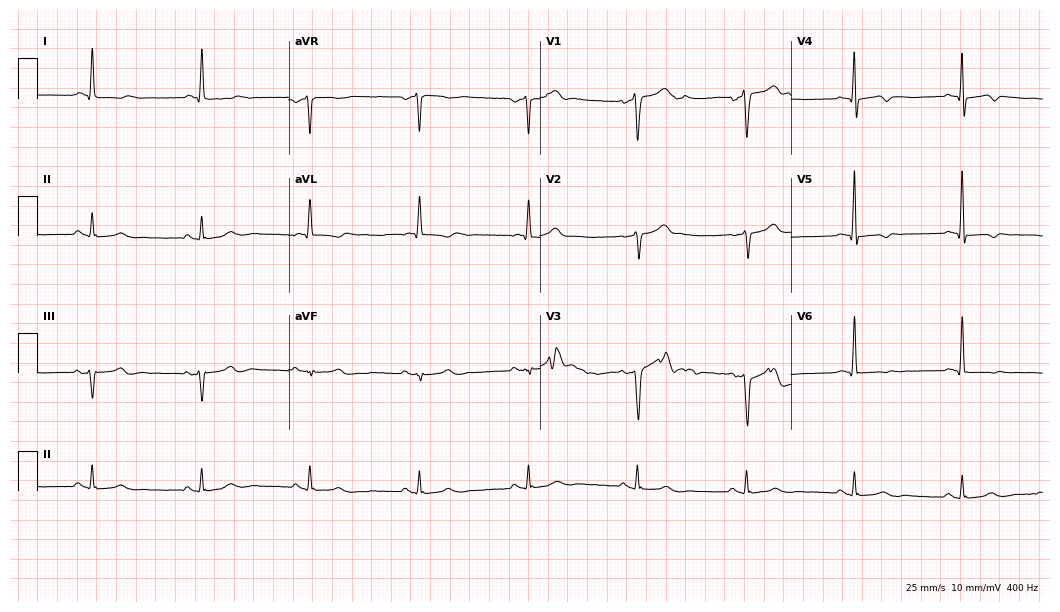
12-lead ECG from a man, 82 years old (10.2-second recording at 400 Hz). No first-degree AV block, right bundle branch block, left bundle branch block, sinus bradycardia, atrial fibrillation or sinus tachycardia recorded for this tracing.